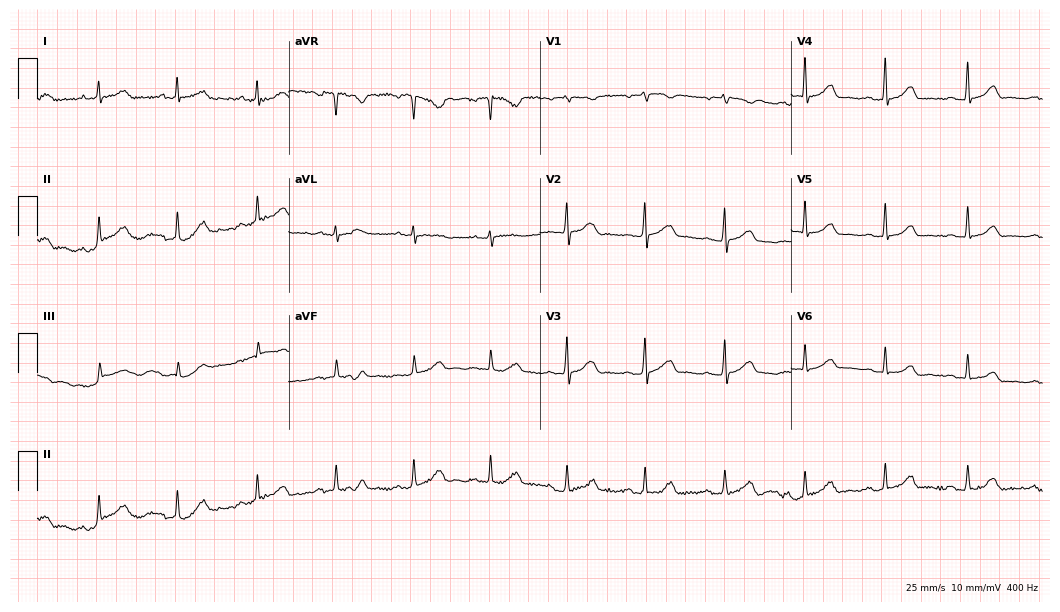
12-lead ECG from a 59-year-old female (10.2-second recording at 400 Hz). No first-degree AV block, right bundle branch block, left bundle branch block, sinus bradycardia, atrial fibrillation or sinus tachycardia recorded for this tracing. Only these six findings were labelled.